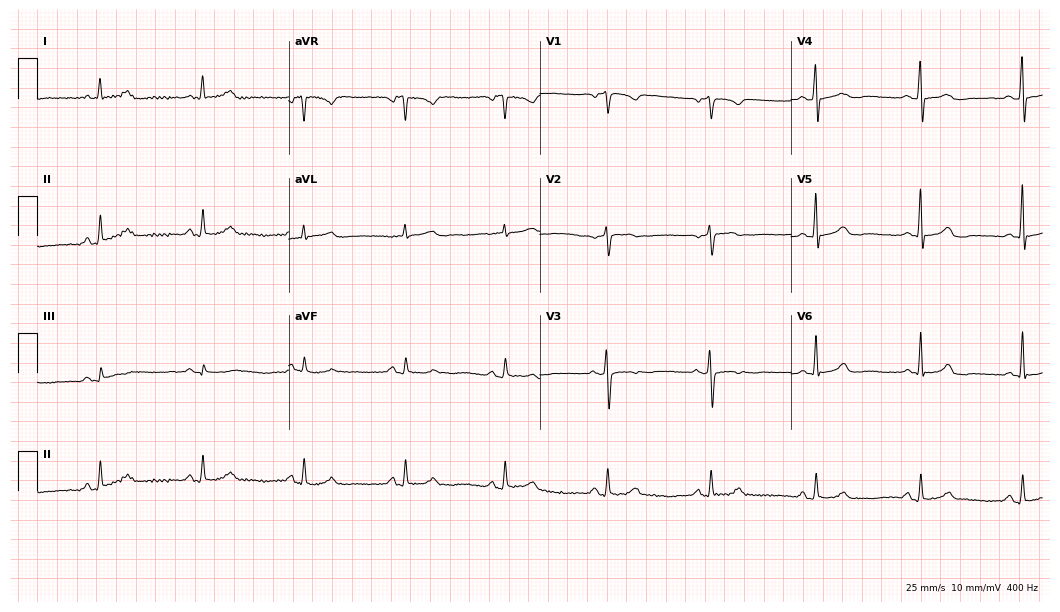
ECG — a female patient, 51 years old. Labelled as a normal ECG.